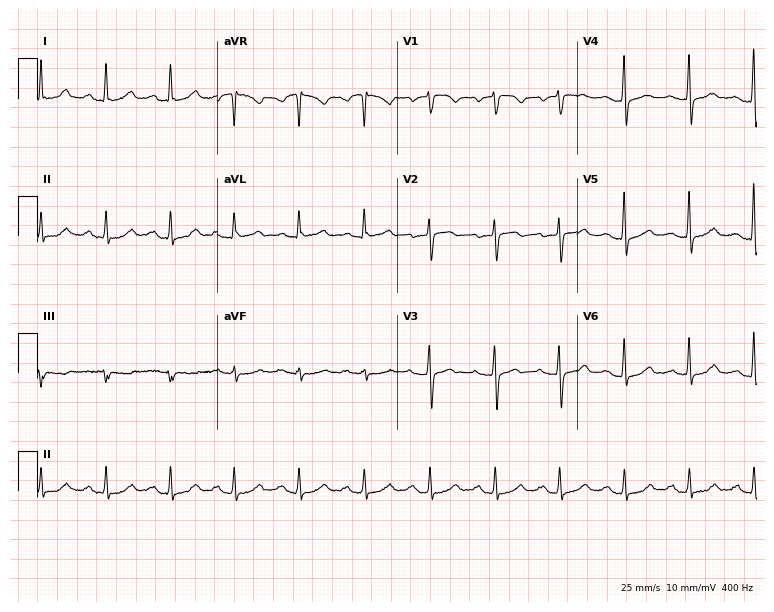
Electrocardiogram (7.3-second recording at 400 Hz), a 70-year-old female patient. Of the six screened findings (first-degree AV block, right bundle branch block (RBBB), left bundle branch block (LBBB), sinus bradycardia, atrial fibrillation (AF), sinus tachycardia), none is recorded.